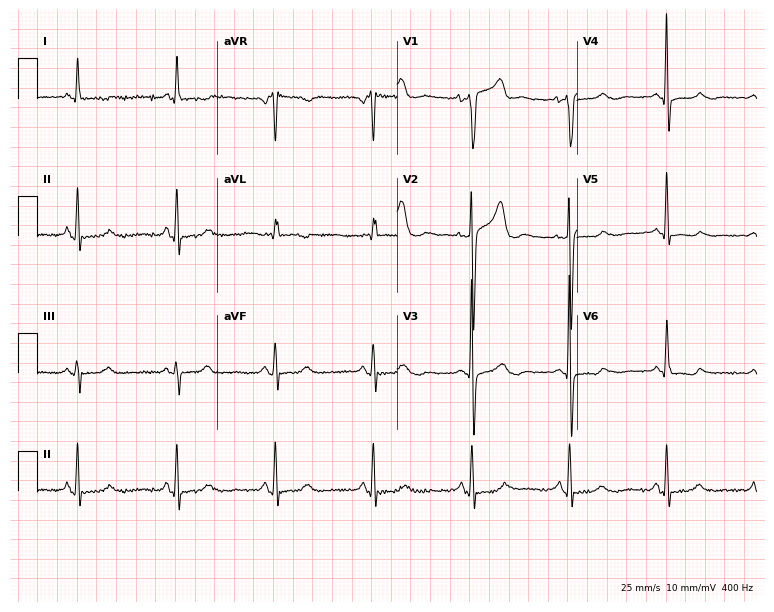
Resting 12-lead electrocardiogram (7.3-second recording at 400 Hz). Patient: an 82-year-old woman. None of these six findings is recorded: first-degree AV block, right bundle branch block, left bundle branch block, sinus bradycardia, atrial fibrillation, sinus tachycardia.